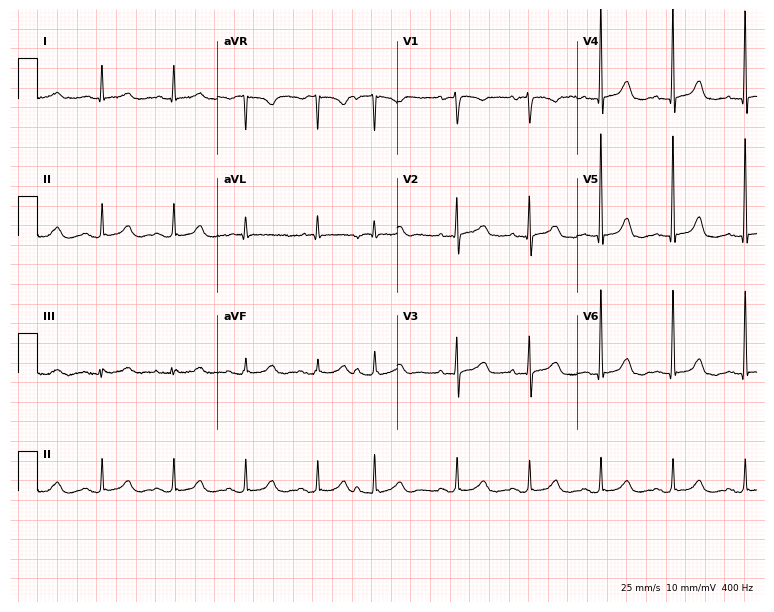
12-lead ECG from a 77-year-old female. Recorded interpretation: within normal limits.